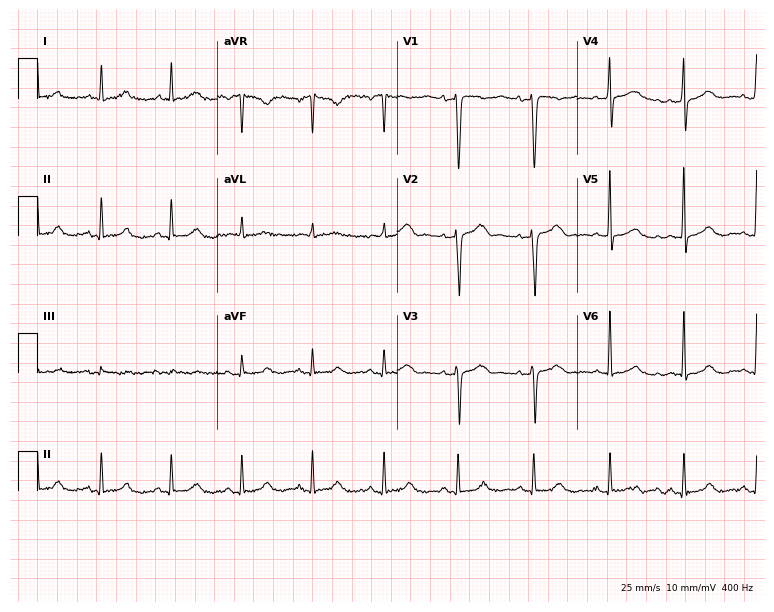
ECG — a 77-year-old female. Labelled as a normal ECG.